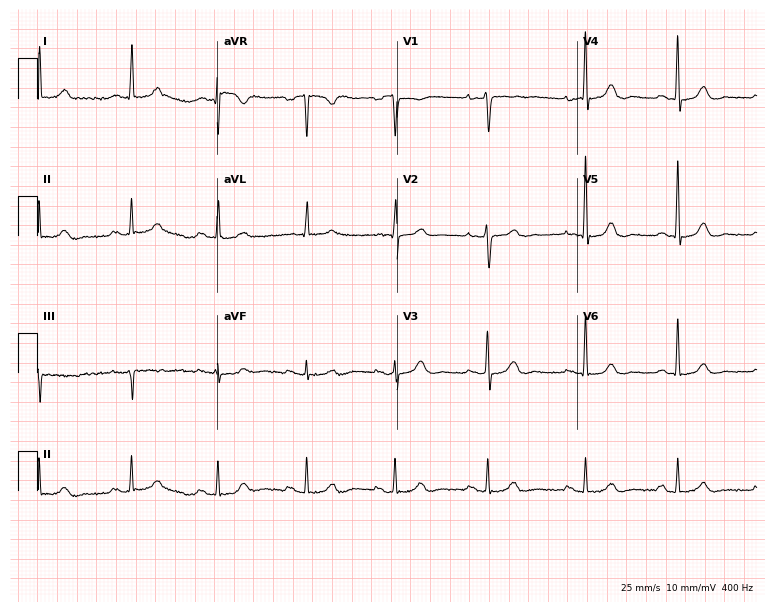
12-lead ECG from a 65-year-old female patient. Labelled as a normal ECG.